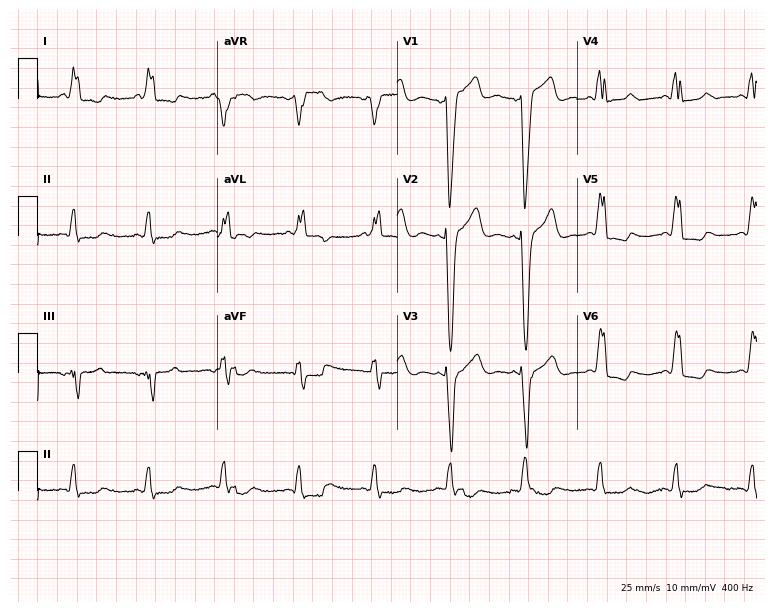
Standard 12-lead ECG recorded from a female patient, 85 years old (7.3-second recording at 400 Hz). The tracing shows left bundle branch block.